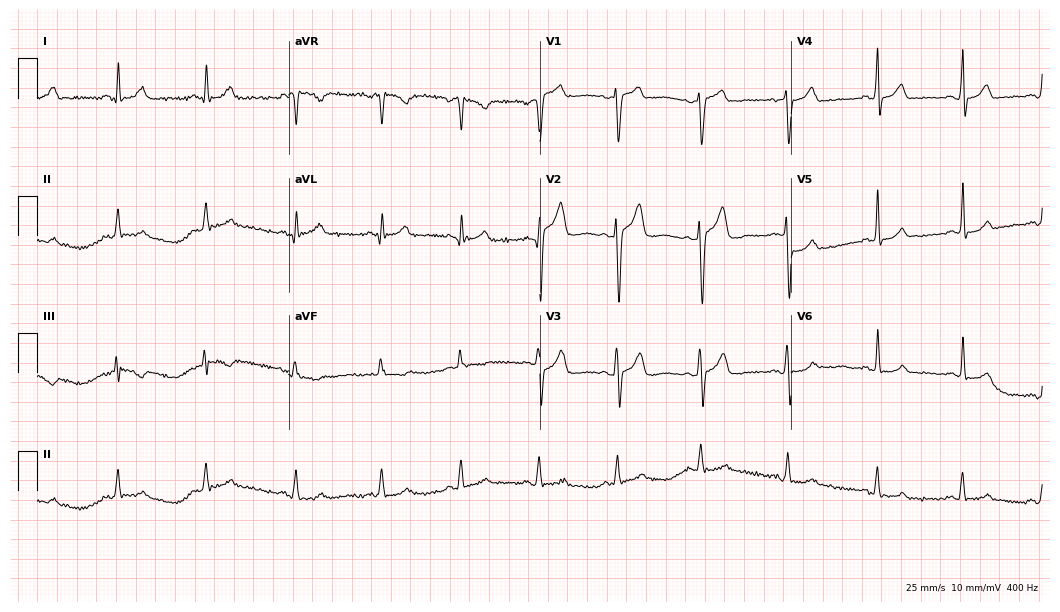
Resting 12-lead electrocardiogram (10.2-second recording at 400 Hz). Patient: a male, 35 years old. None of these six findings is recorded: first-degree AV block, right bundle branch block, left bundle branch block, sinus bradycardia, atrial fibrillation, sinus tachycardia. Only these six findings were labelled.